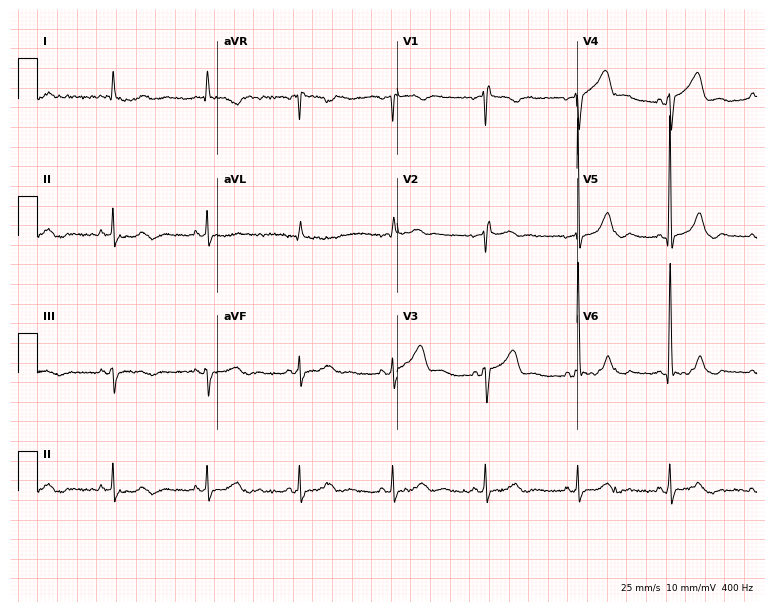
Electrocardiogram (7.3-second recording at 400 Hz), a 71-year-old man. Of the six screened findings (first-degree AV block, right bundle branch block (RBBB), left bundle branch block (LBBB), sinus bradycardia, atrial fibrillation (AF), sinus tachycardia), none is recorded.